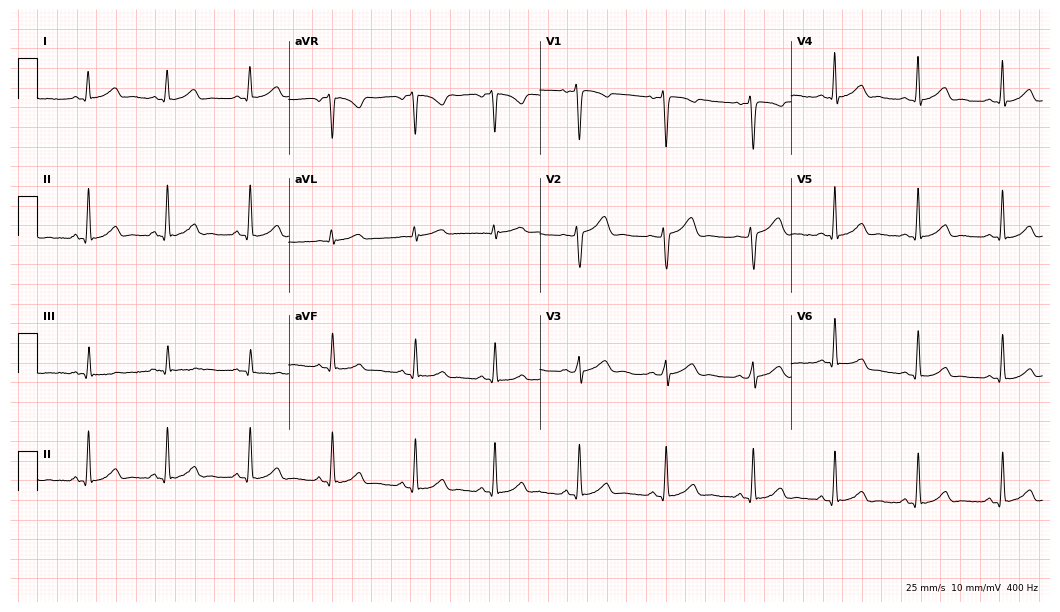
Resting 12-lead electrocardiogram (10.2-second recording at 400 Hz). Patient: a female, 27 years old. Read as a normal ECG.